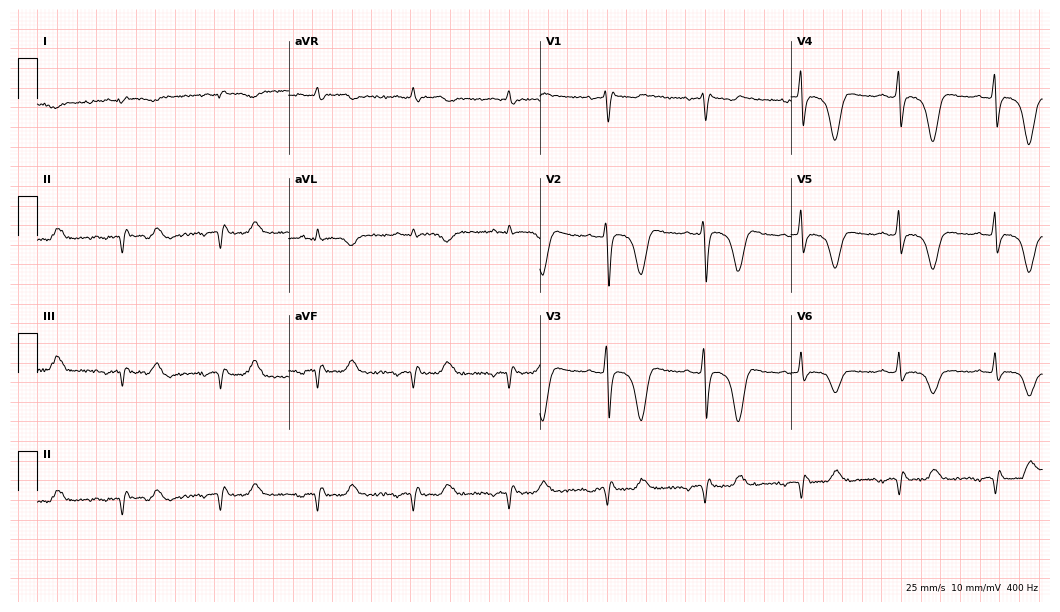
Standard 12-lead ECG recorded from a man, 82 years old. None of these six findings is recorded: first-degree AV block, right bundle branch block (RBBB), left bundle branch block (LBBB), sinus bradycardia, atrial fibrillation (AF), sinus tachycardia.